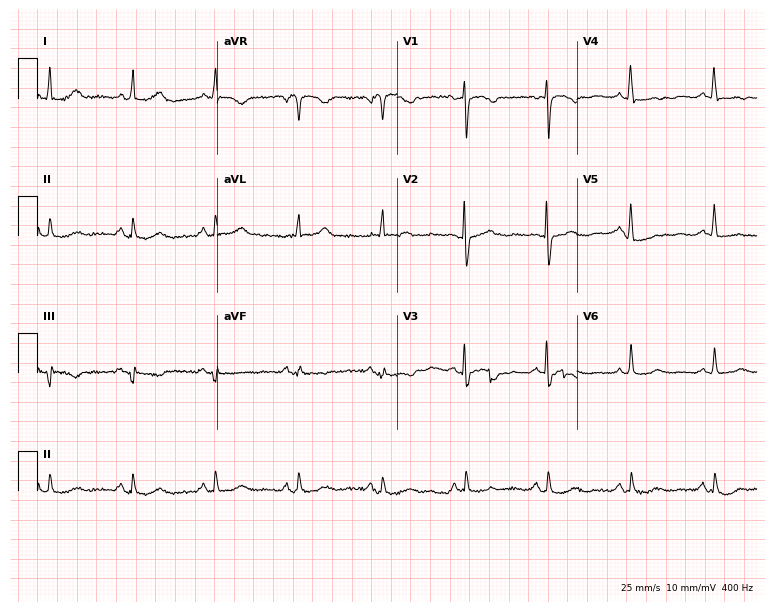
ECG — a 66-year-old female patient. Labelled as a normal ECG.